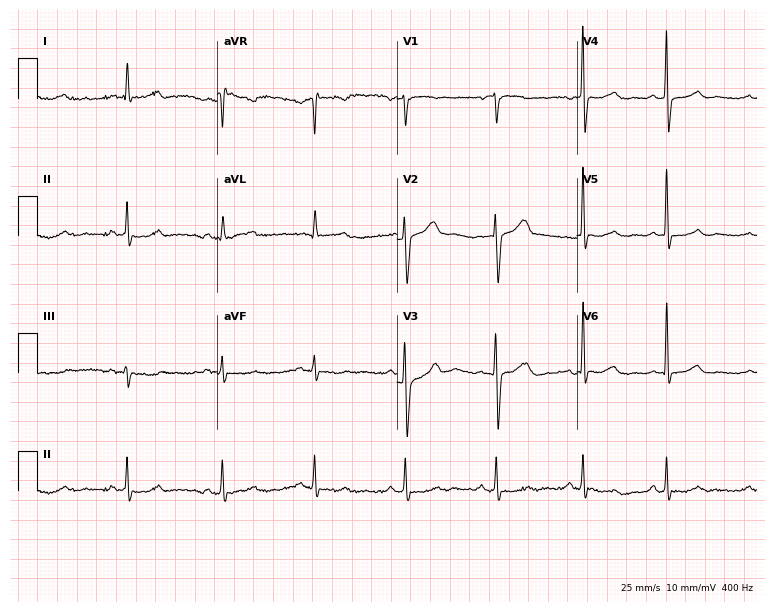
12-lead ECG from a female patient, 68 years old. No first-degree AV block, right bundle branch block, left bundle branch block, sinus bradycardia, atrial fibrillation or sinus tachycardia recorded for this tracing. Other findings, if any, are not listed.